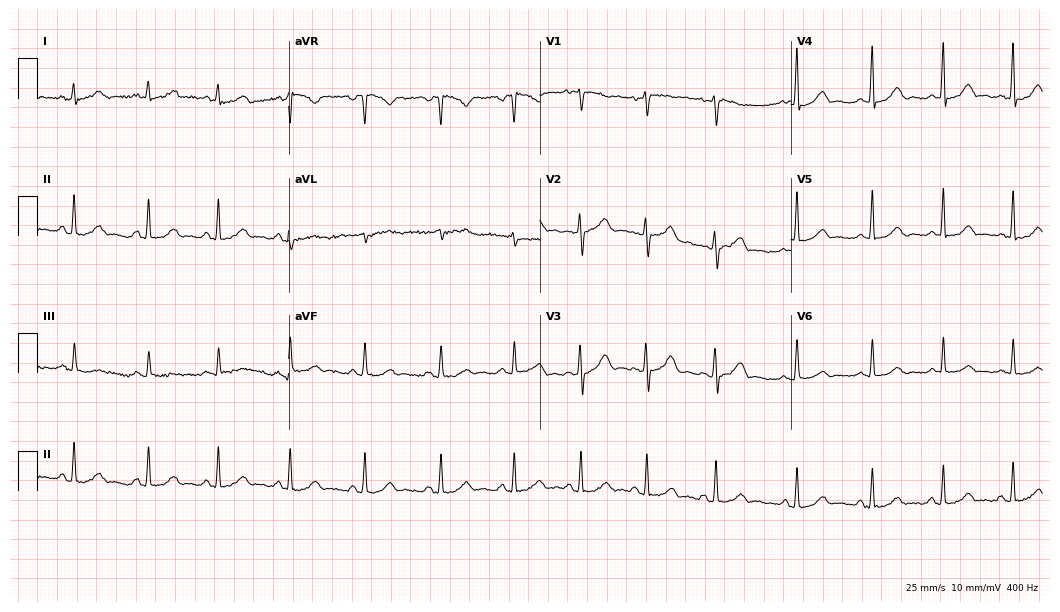
ECG — a 24-year-old woman. Labelled as a normal ECG.